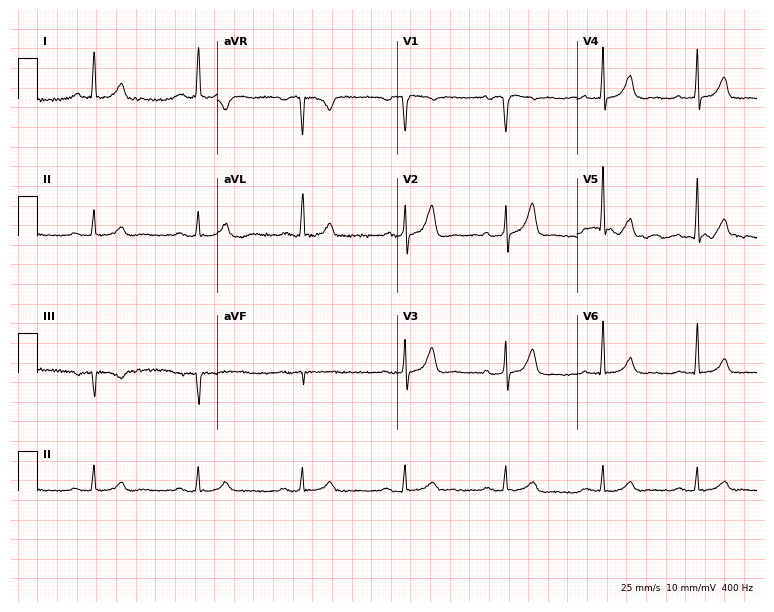
Standard 12-lead ECG recorded from a 67-year-old male. Read as a normal ECG.